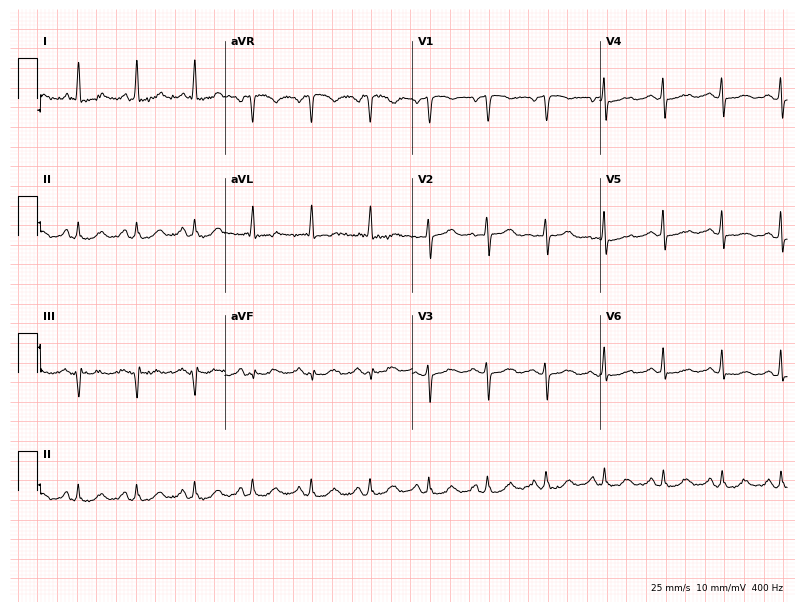
Standard 12-lead ECG recorded from a female, 73 years old (7.6-second recording at 400 Hz). The tracing shows sinus tachycardia (a sinus rate of 100 beats per minute or more).